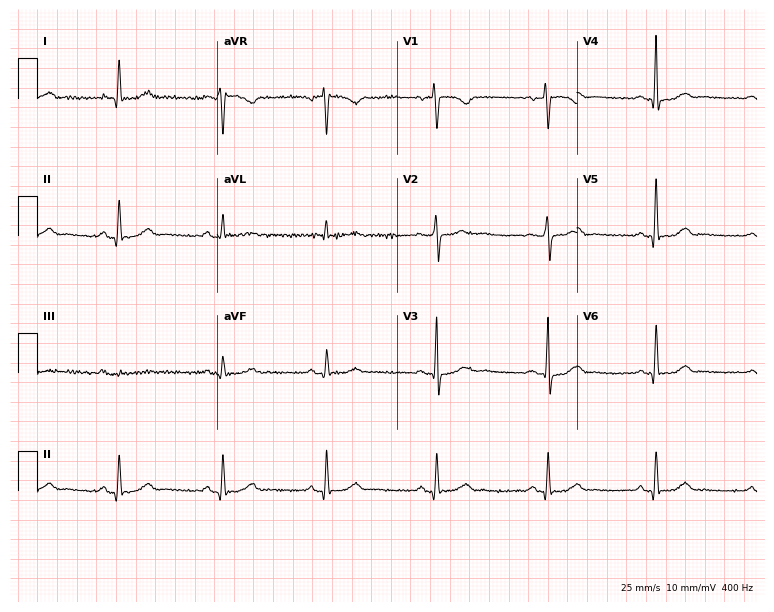
12-lead ECG from a woman, 59 years old. Recorded interpretation: within normal limits.